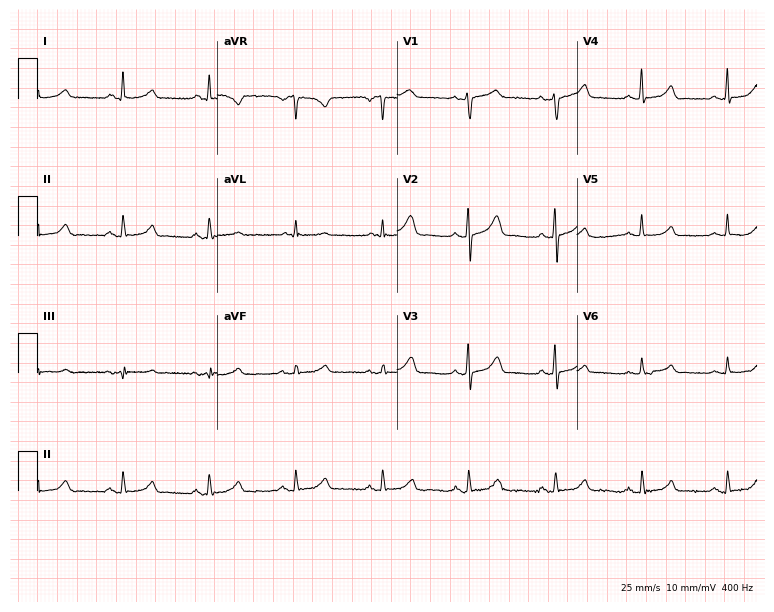
Electrocardiogram, a woman, 65 years old. Overall reading on record: normal ECG.